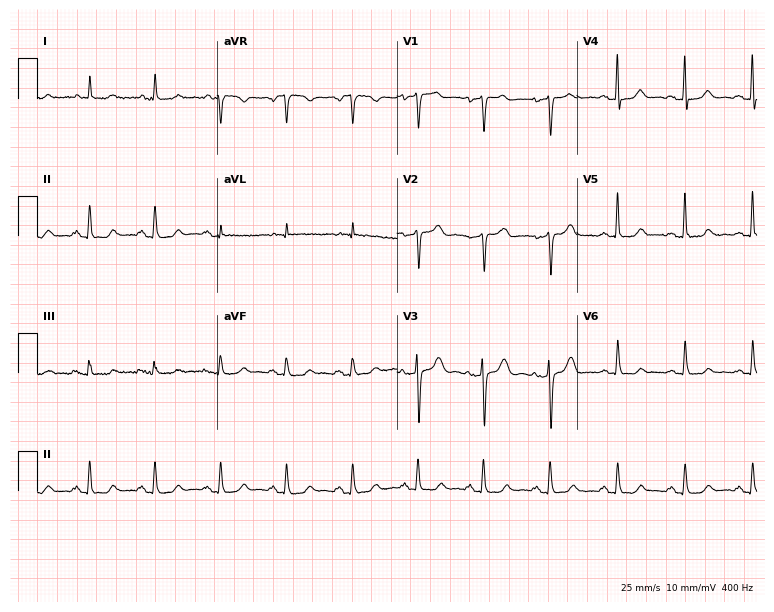
Electrocardiogram (7.3-second recording at 400 Hz), a 61-year-old female. Overall reading on record: normal ECG.